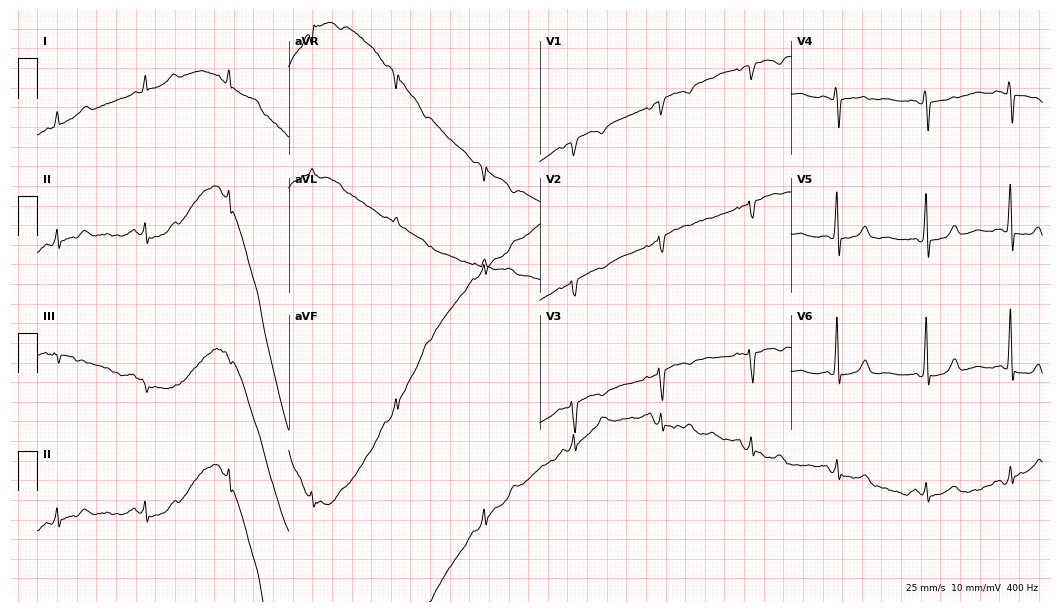
ECG — a female, 64 years old. Screened for six findings — first-degree AV block, right bundle branch block, left bundle branch block, sinus bradycardia, atrial fibrillation, sinus tachycardia — none is recorded. Other findings, if any, are not listed.